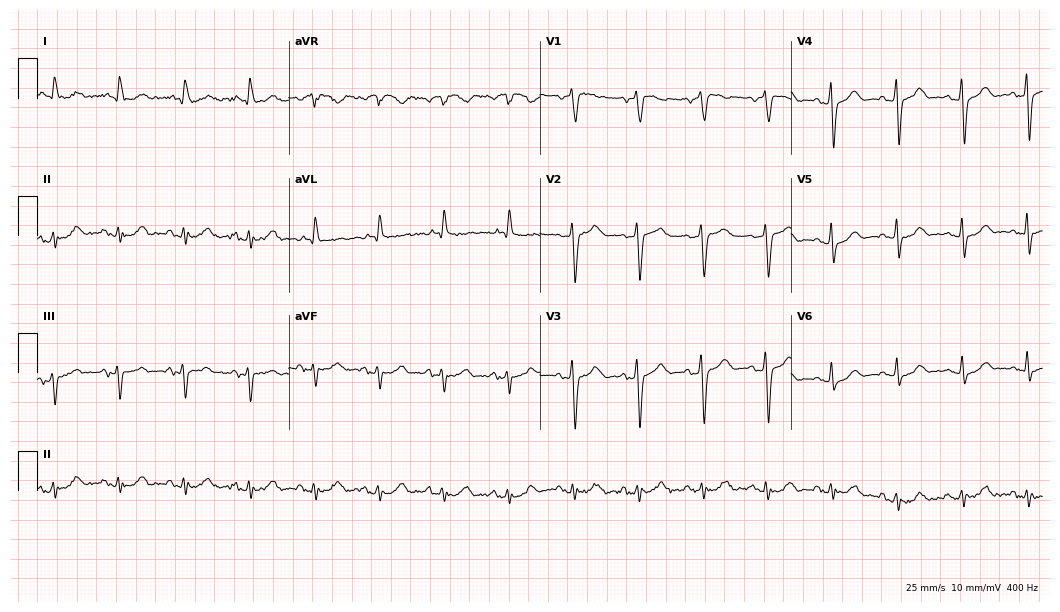
12-lead ECG from a male, 73 years old. Screened for six findings — first-degree AV block, right bundle branch block, left bundle branch block, sinus bradycardia, atrial fibrillation, sinus tachycardia — none is recorded. Other findings, if any, are not listed.